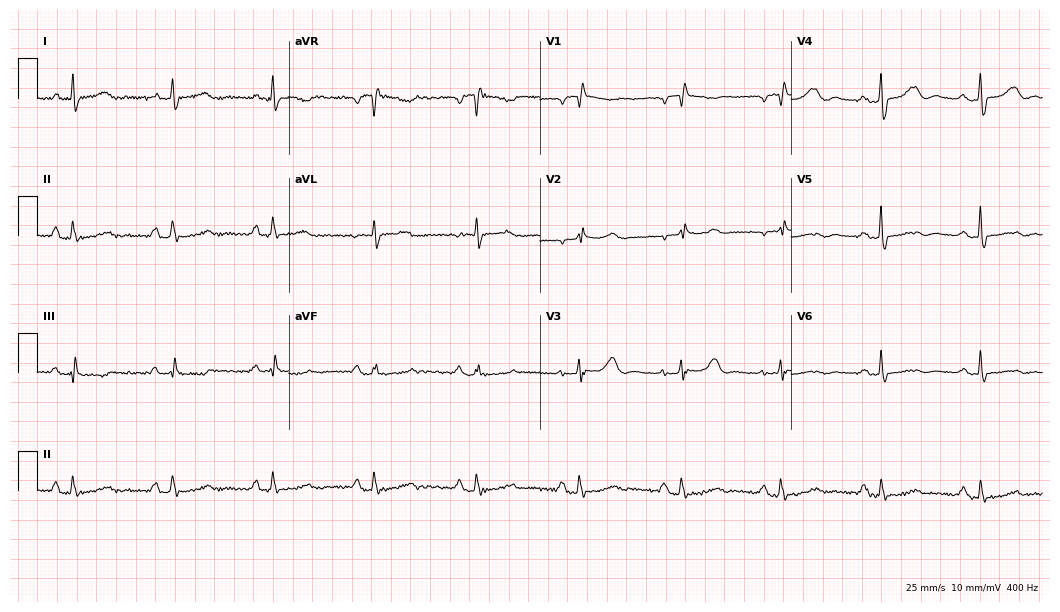
ECG (10.2-second recording at 400 Hz) — a 70-year-old woman. Screened for six findings — first-degree AV block, right bundle branch block, left bundle branch block, sinus bradycardia, atrial fibrillation, sinus tachycardia — none is recorded.